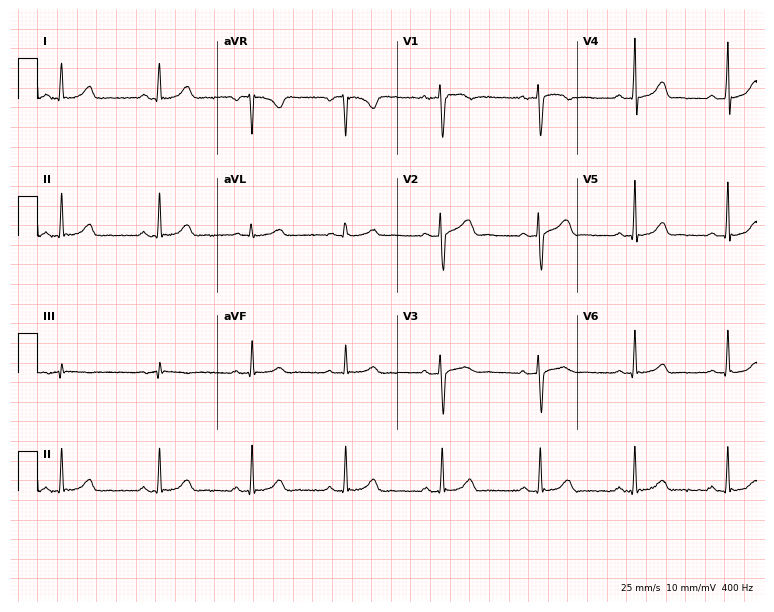
ECG — a 38-year-old female patient. Labelled as a normal ECG.